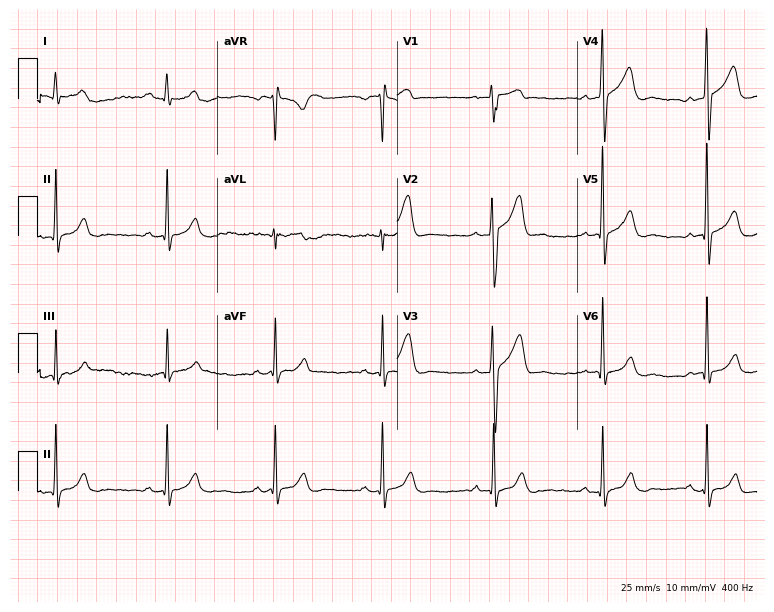
ECG — a male, 66 years old. Labelled as a normal ECG.